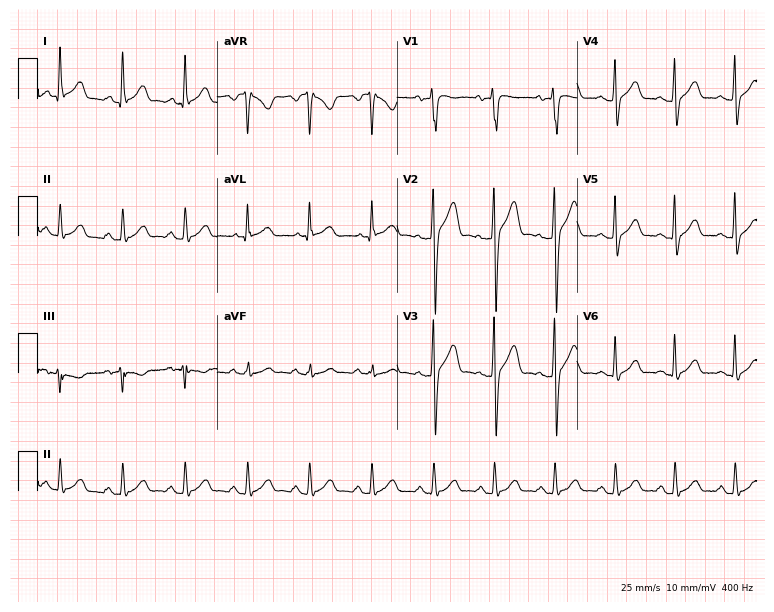
ECG (7.3-second recording at 400 Hz) — a male patient, 33 years old. Labelled as a normal ECG.